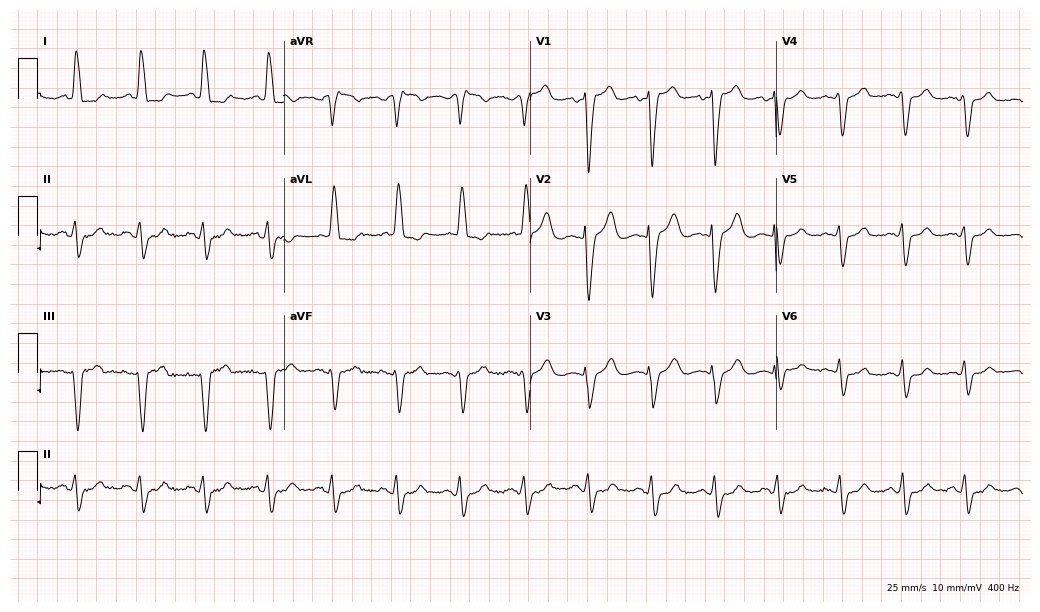
Electrocardiogram, a female, 76 years old. Of the six screened findings (first-degree AV block, right bundle branch block (RBBB), left bundle branch block (LBBB), sinus bradycardia, atrial fibrillation (AF), sinus tachycardia), none is recorded. Other findings, if any, are not listed.